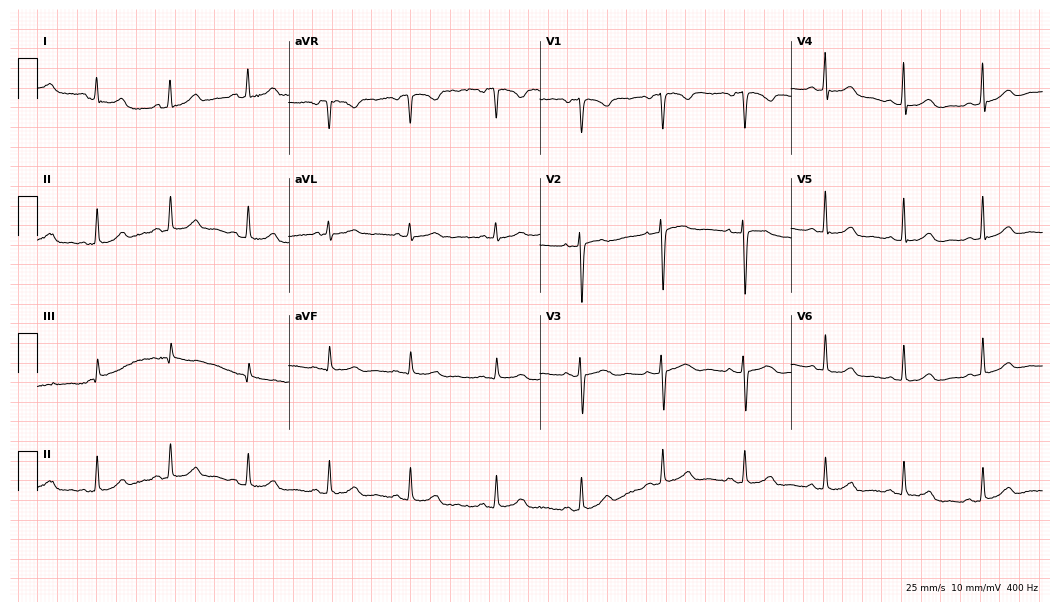
12-lead ECG from a female patient, 45 years old. Recorded interpretation: within normal limits.